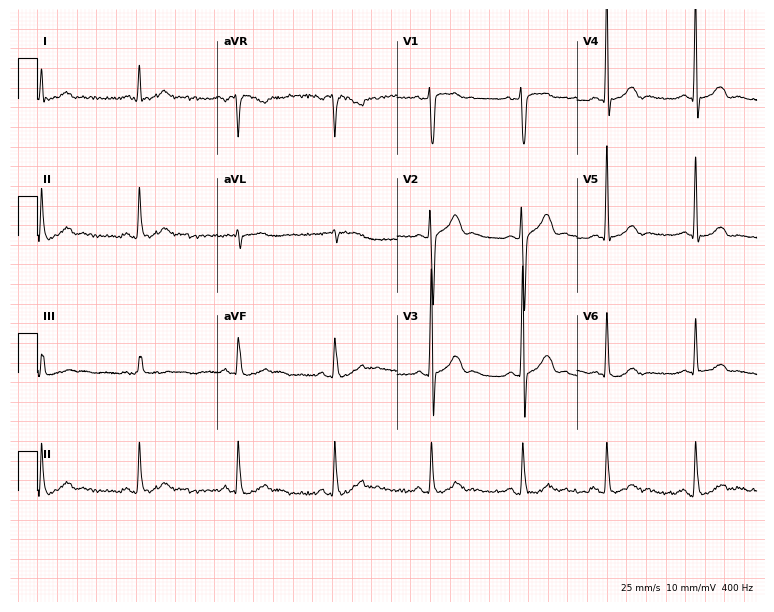
Standard 12-lead ECG recorded from a man, 43 years old (7.3-second recording at 400 Hz). Read as a normal ECG.